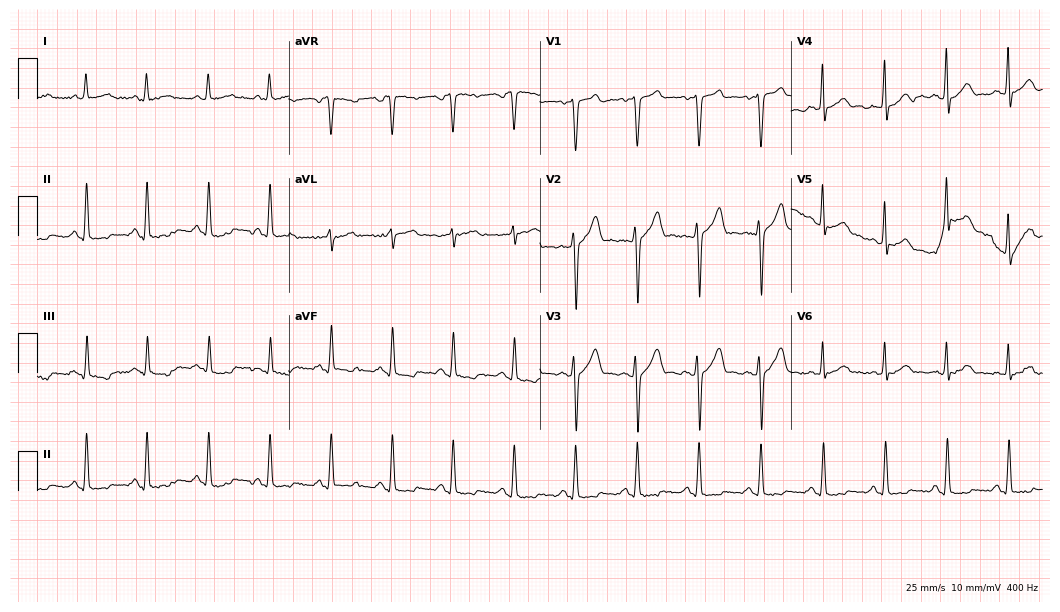
Resting 12-lead electrocardiogram (10.2-second recording at 400 Hz). Patient: a 52-year-old male. None of these six findings is recorded: first-degree AV block, right bundle branch block, left bundle branch block, sinus bradycardia, atrial fibrillation, sinus tachycardia. Only these six findings were labelled.